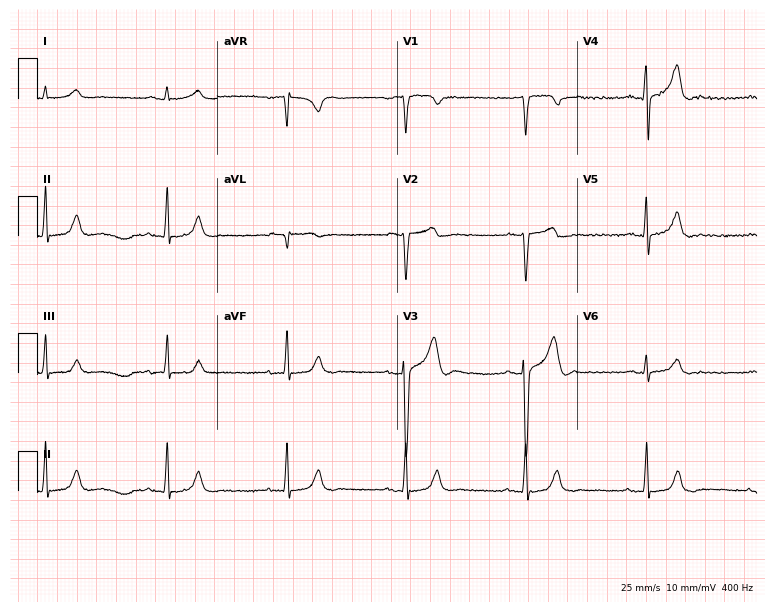
12-lead ECG from a 53-year-old male patient. Labelled as a normal ECG.